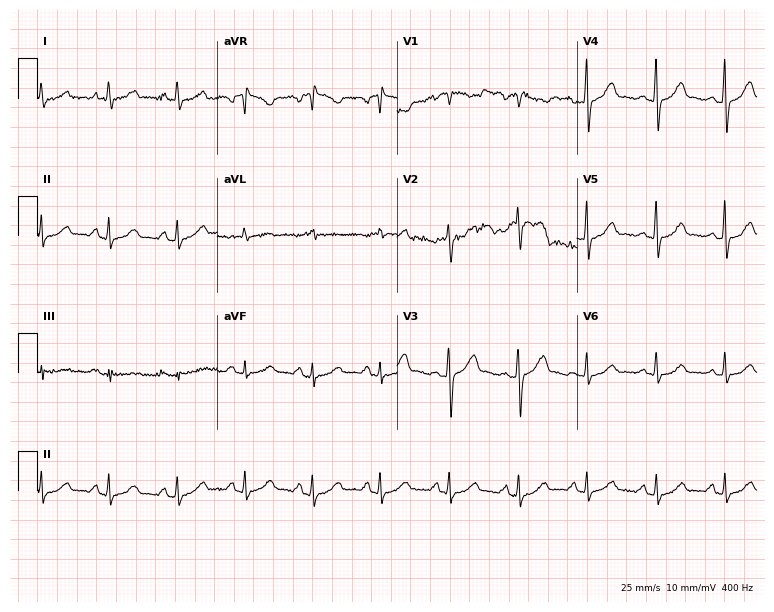
Electrocardiogram, a 56-year-old female patient. Overall reading on record: normal ECG.